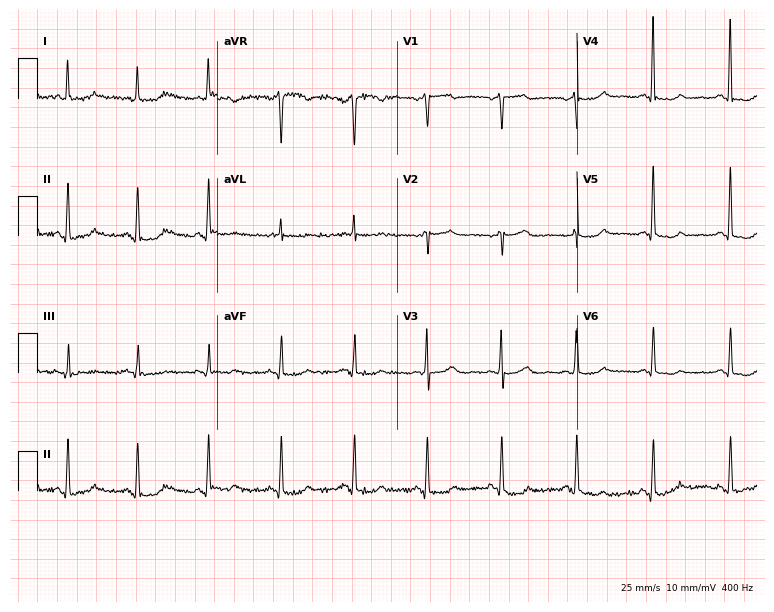
Electrocardiogram, a 55-year-old woman. Of the six screened findings (first-degree AV block, right bundle branch block (RBBB), left bundle branch block (LBBB), sinus bradycardia, atrial fibrillation (AF), sinus tachycardia), none is recorded.